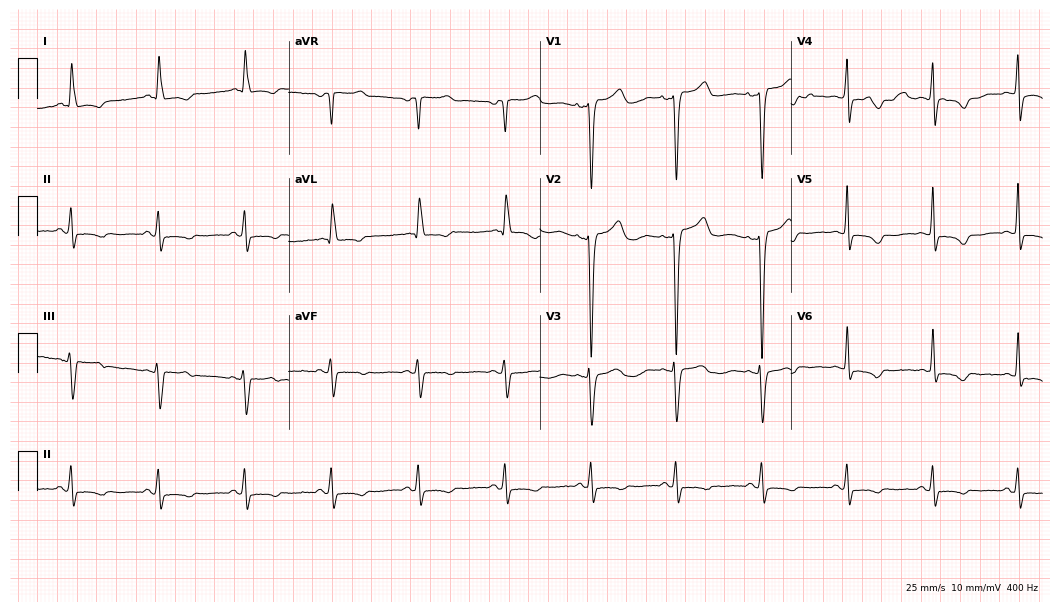
12-lead ECG from a 52-year-old female patient (10.2-second recording at 400 Hz). No first-degree AV block, right bundle branch block (RBBB), left bundle branch block (LBBB), sinus bradycardia, atrial fibrillation (AF) or sinus tachycardia recorded for this tracing. Other findings, if any, are not listed.